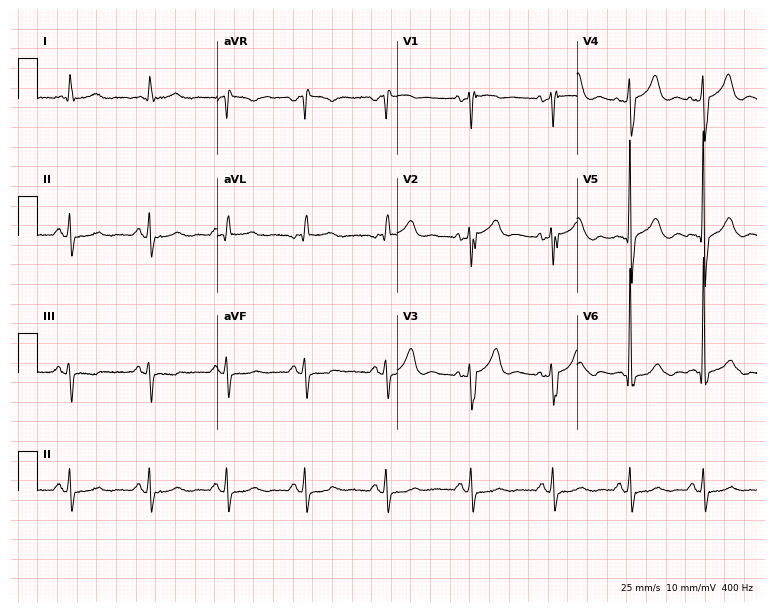
12-lead ECG from a 66-year-old man (7.3-second recording at 400 Hz). No first-degree AV block, right bundle branch block, left bundle branch block, sinus bradycardia, atrial fibrillation or sinus tachycardia recorded for this tracing.